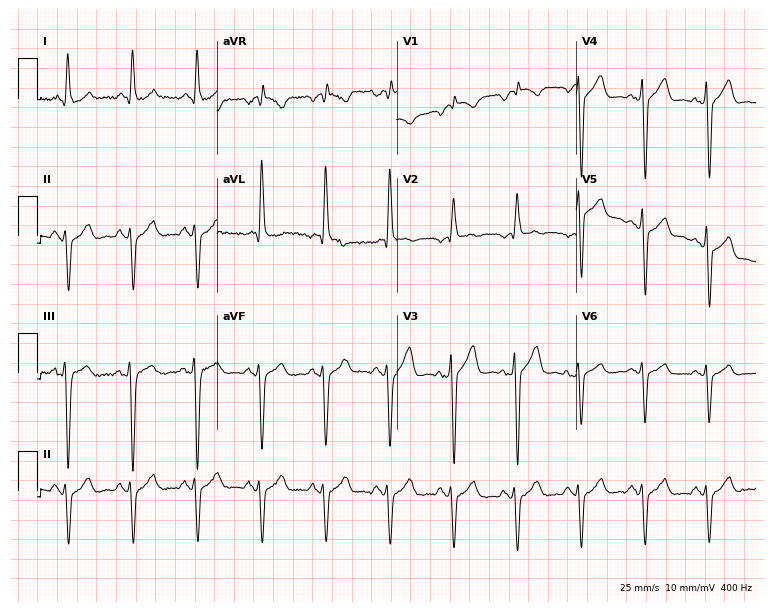
Resting 12-lead electrocardiogram. Patient: a 57-year-old man. None of these six findings is recorded: first-degree AV block, right bundle branch block, left bundle branch block, sinus bradycardia, atrial fibrillation, sinus tachycardia. Other findings, if any, are not listed.